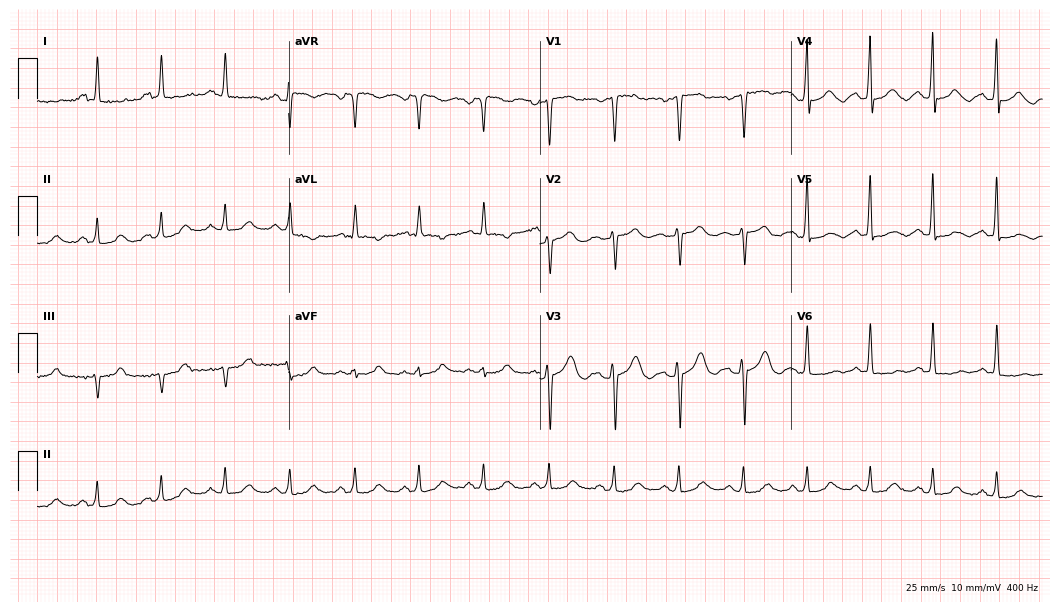
12-lead ECG from a woman, 52 years old. Labelled as a normal ECG.